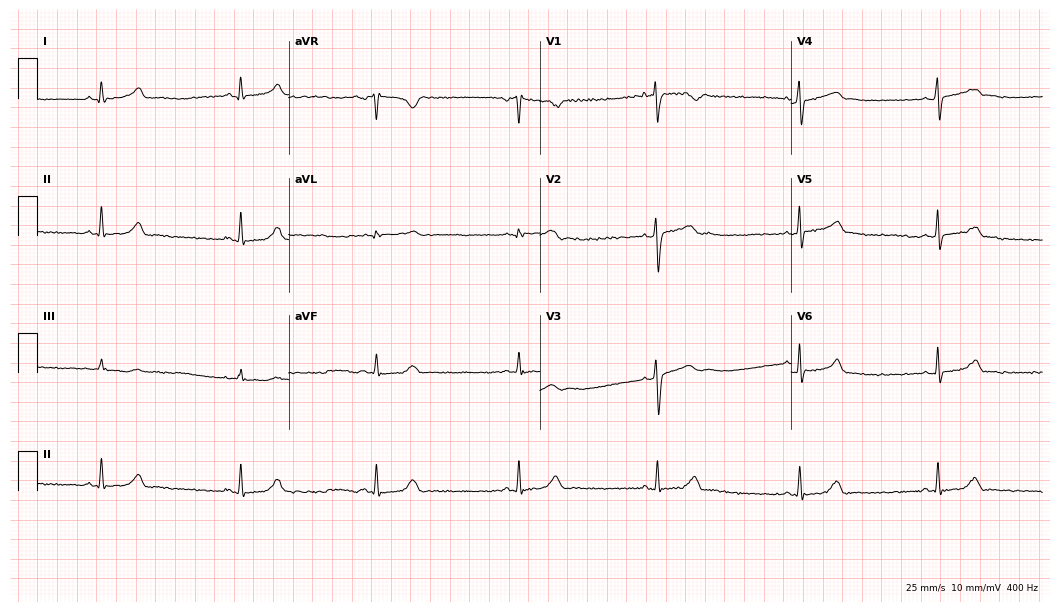
12-lead ECG from a 23-year-old woman. Shows sinus bradycardia (a sinus rate of 50 beats per minute or less).